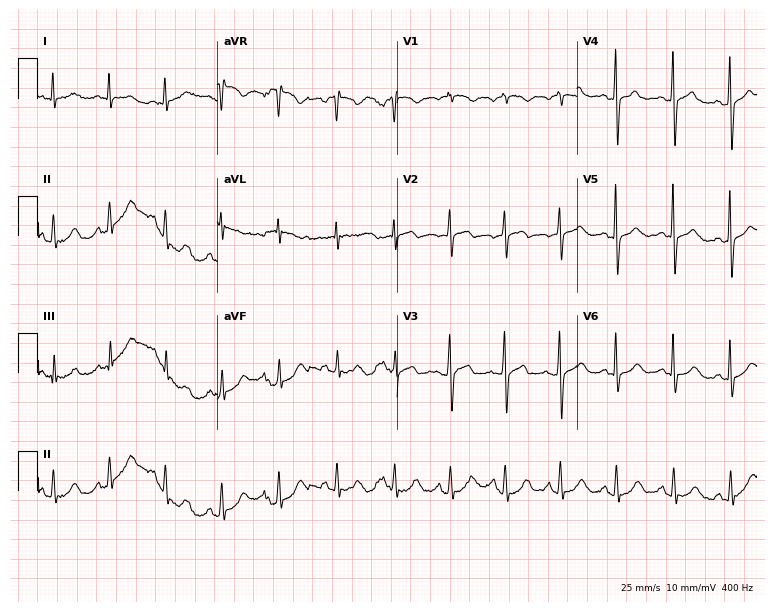
Electrocardiogram, a woman, 62 years old. Interpretation includes sinus tachycardia (a sinus rate of 100 beats per minute or more).